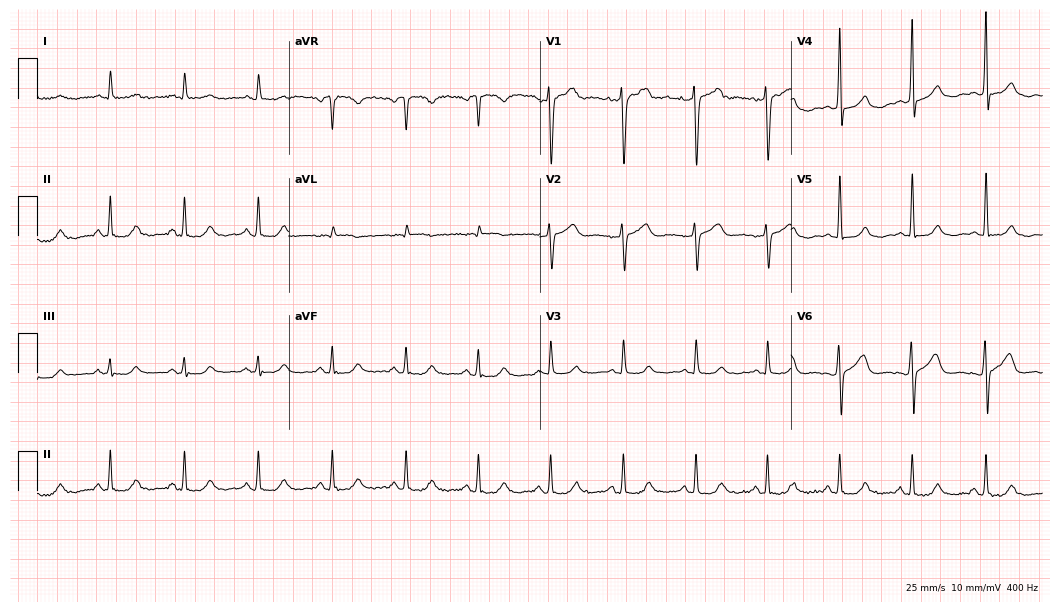
12-lead ECG from a 53-year-old male patient. No first-degree AV block, right bundle branch block, left bundle branch block, sinus bradycardia, atrial fibrillation or sinus tachycardia recorded for this tracing. Findings outside these six are not listed.